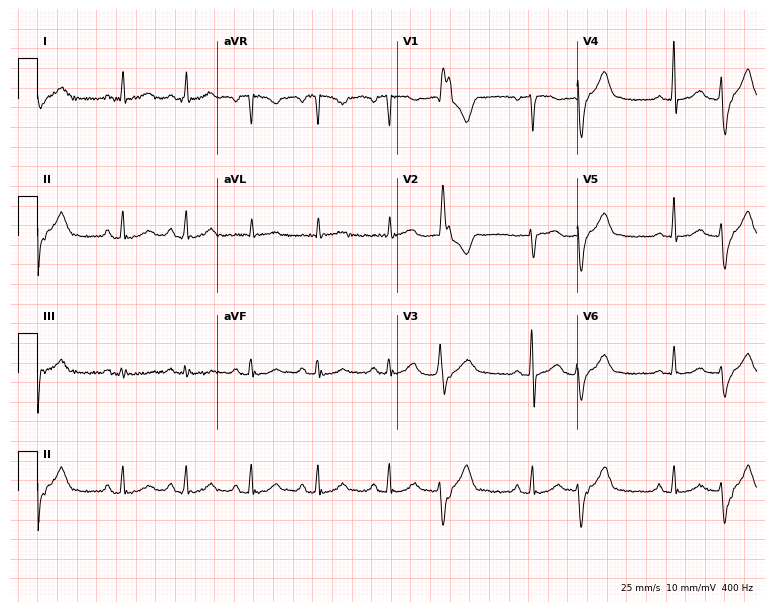
Electrocardiogram, a 77-year-old female patient. Of the six screened findings (first-degree AV block, right bundle branch block, left bundle branch block, sinus bradycardia, atrial fibrillation, sinus tachycardia), none is recorded.